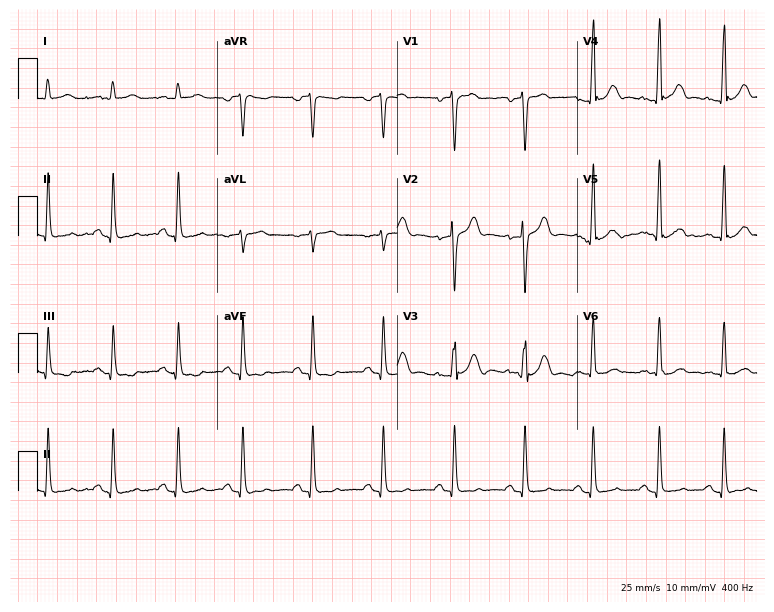
ECG — a 52-year-old male patient. Labelled as a normal ECG.